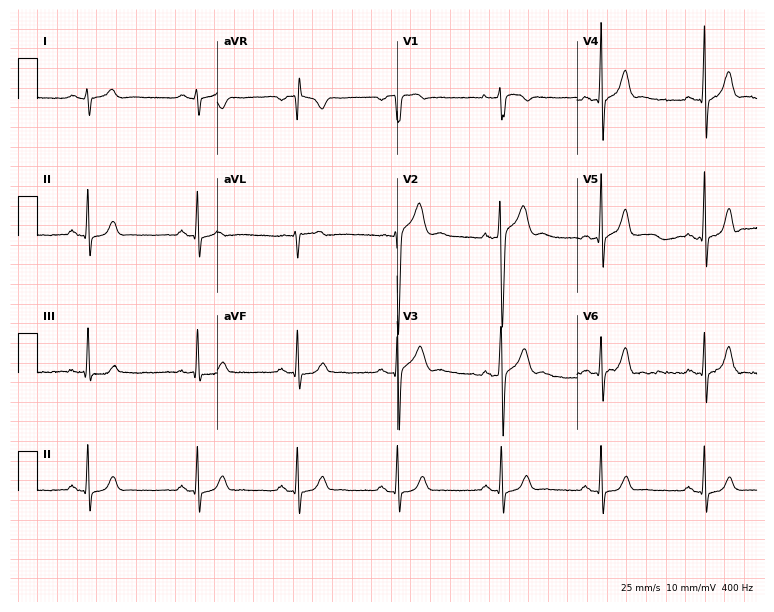
Standard 12-lead ECG recorded from a male, 23 years old. Read as a normal ECG.